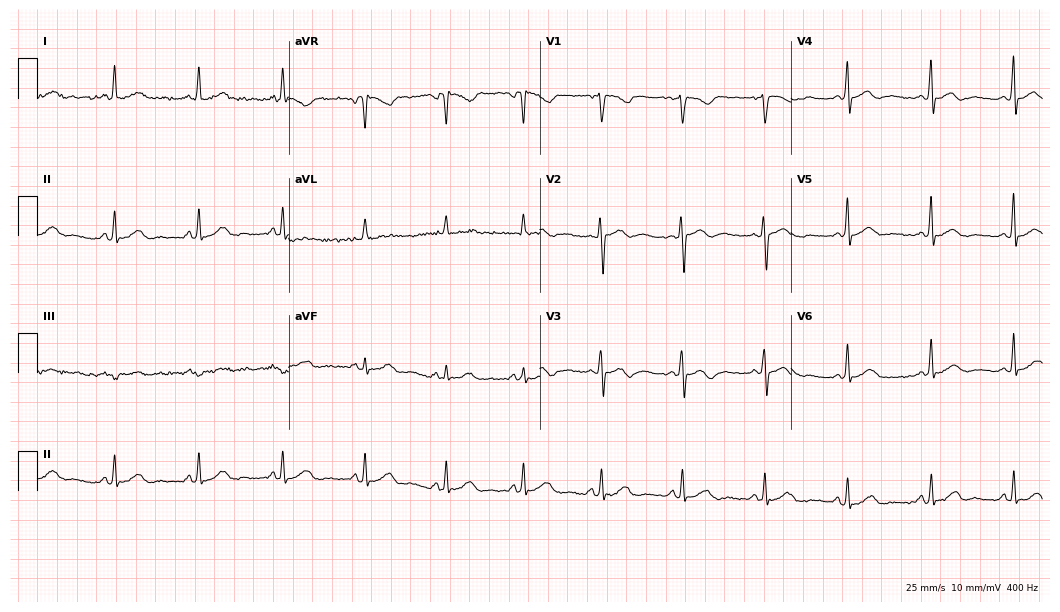
Standard 12-lead ECG recorded from a woman, 70 years old. Read as a normal ECG.